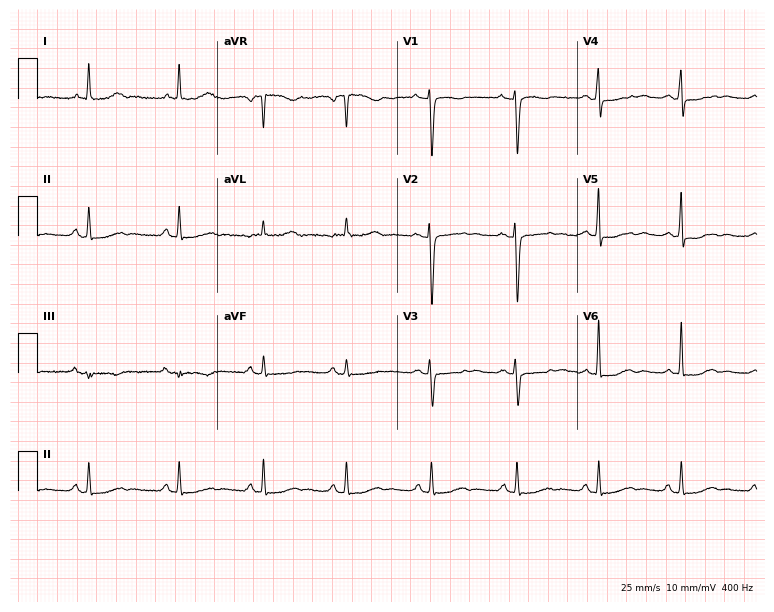
12-lead ECG from a 43-year-old woman. Screened for six findings — first-degree AV block, right bundle branch block, left bundle branch block, sinus bradycardia, atrial fibrillation, sinus tachycardia — none is recorded.